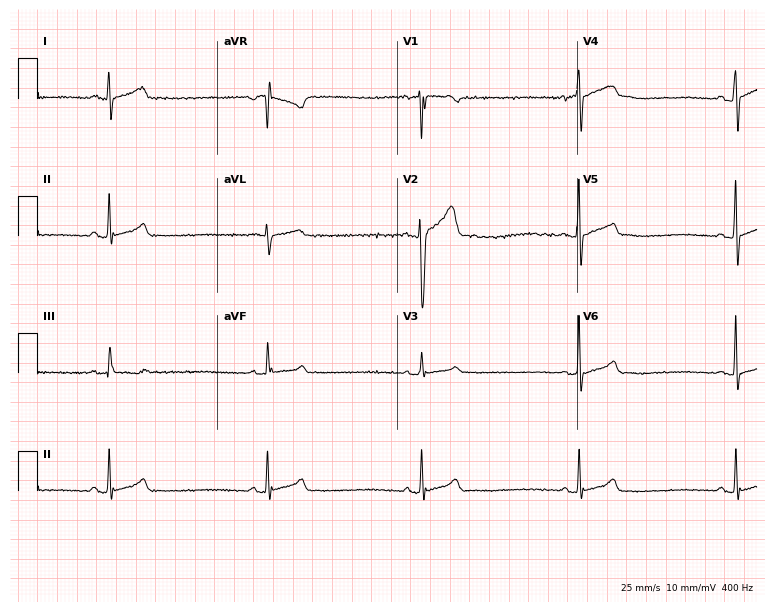
Electrocardiogram, a 30-year-old man. Interpretation includes sinus bradycardia (a sinus rate of 50 beats per minute or less).